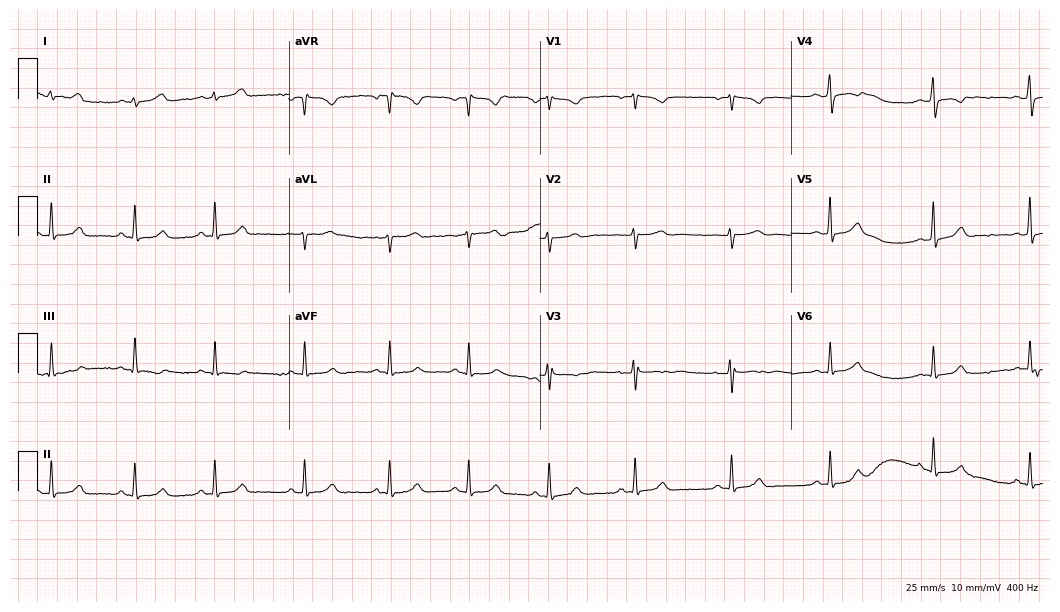
Electrocardiogram (10.2-second recording at 400 Hz), a 17-year-old female. Overall reading on record: normal ECG.